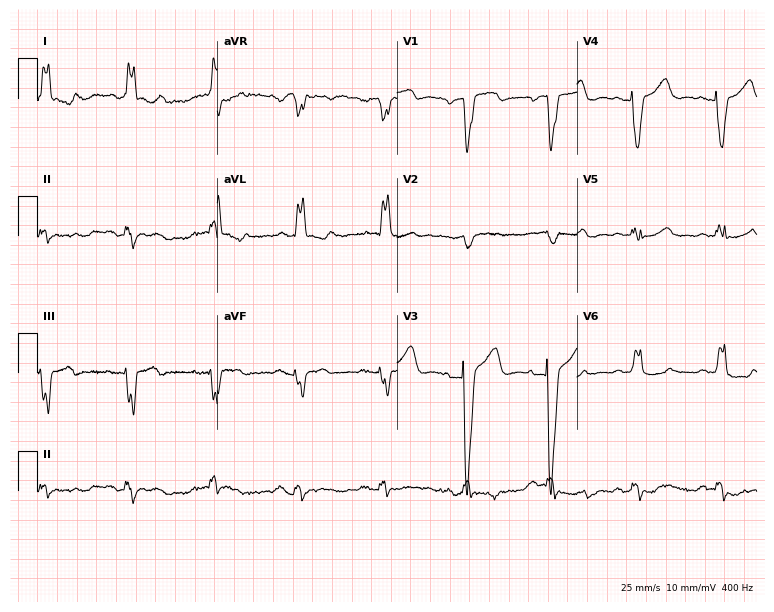
Resting 12-lead electrocardiogram (7.3-second recording at 400 Hz). Patient: a woman, 83 years old. The tracing shows left bundle branch block (LBBB).